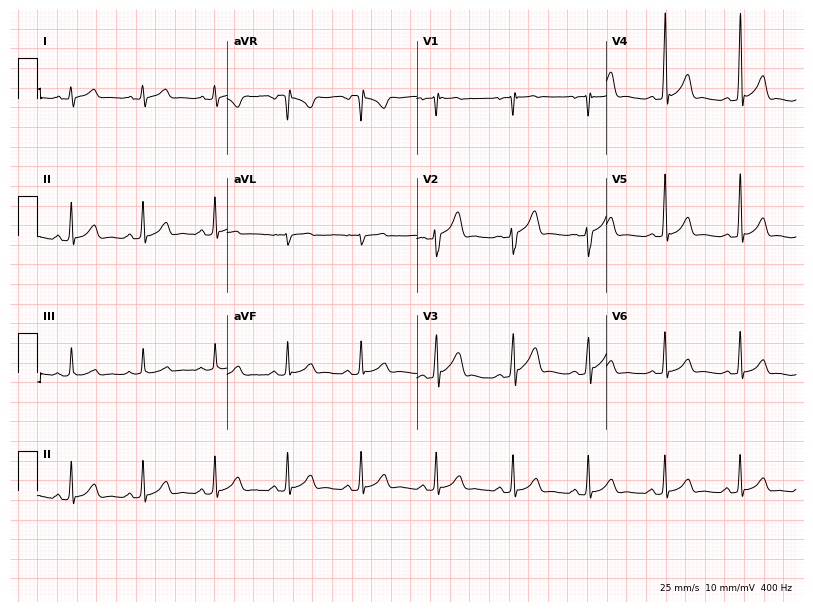
12-lead ECG from a 21-year-old male patient. Labelled as a normal ECG.